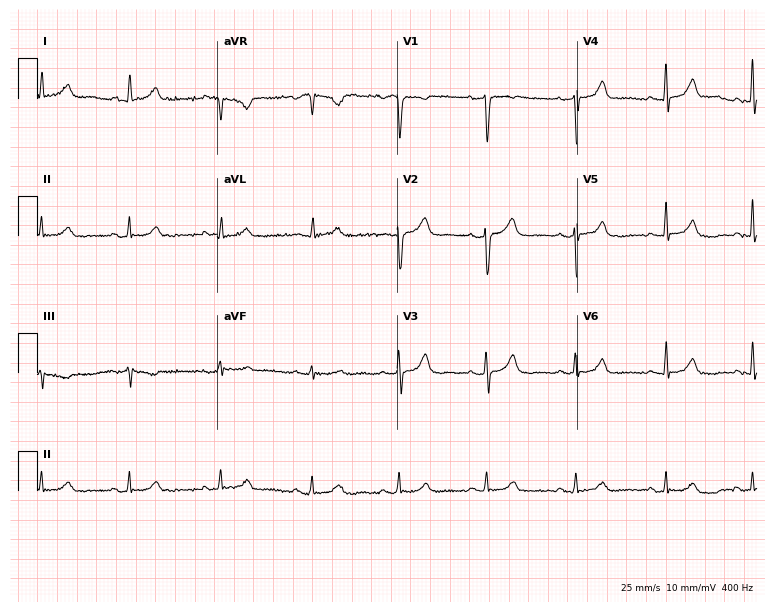
Resting 12-lead electrocardiogram (7.3-second recording at 400 Hz). Patient: a 44-year-old woman. Read as a normal ECG.